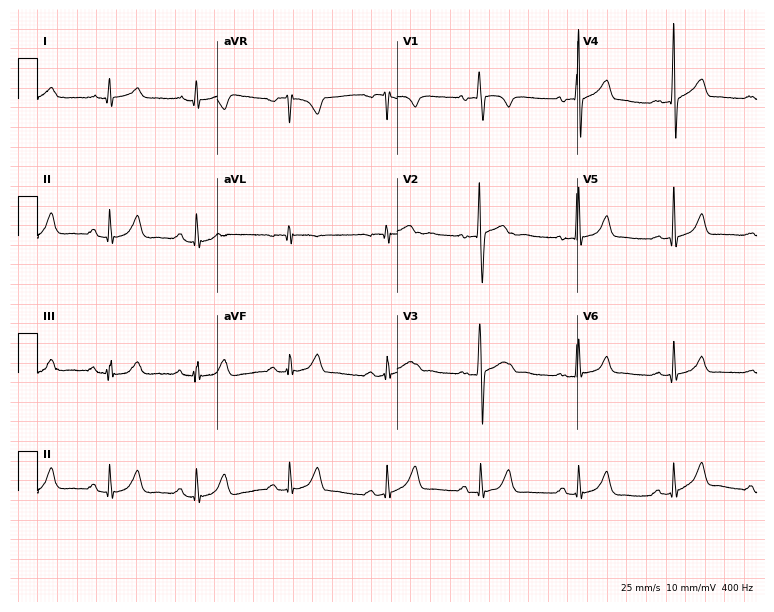
12-lead ECG (7.3-second recording at 400 Hz) from a male, 29 years old. Labelled as a normal ECG.